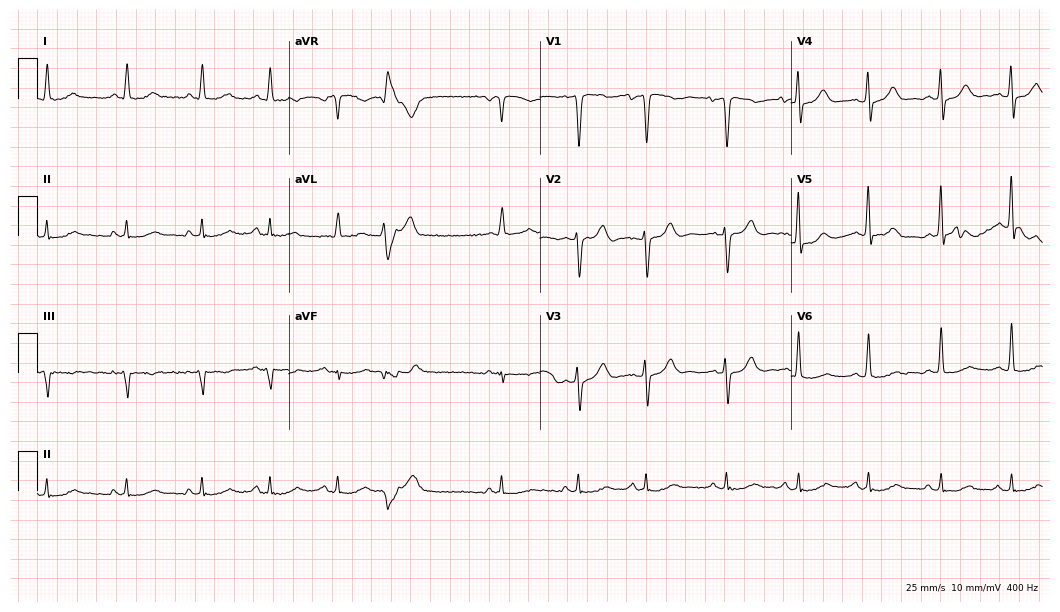
12-lead ECG (10.2-second recording at 400 Hz) from a 73-year-old male patient. Screened for six findings — first-degree AV block, right bundle branch block, left bundle branch block, sinus bradycardia, atrial fibrillation, sinus tachycardia — none is recorded. Other findings, if any, are not listed.